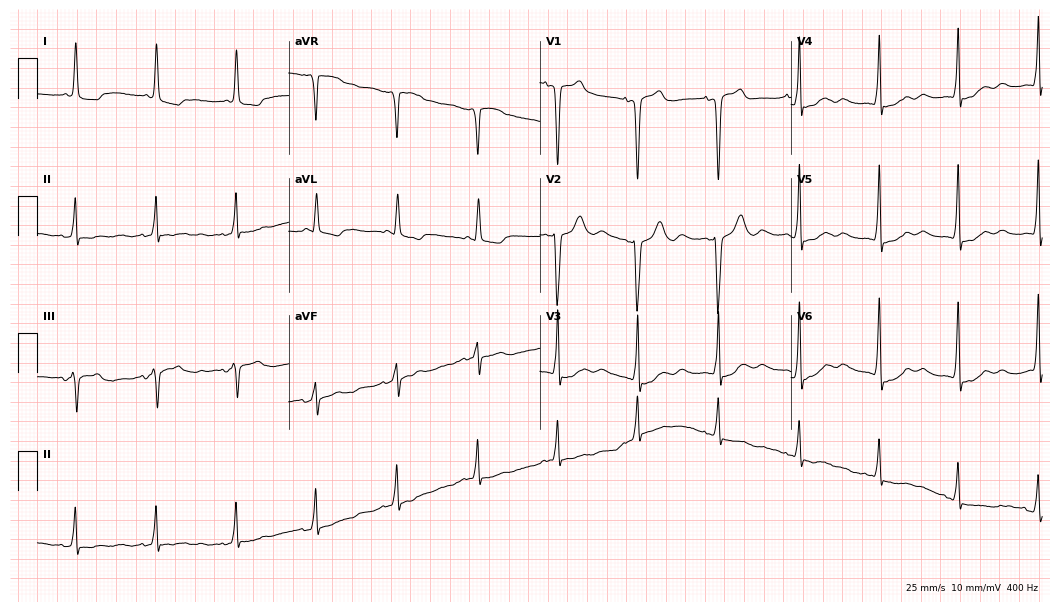
12-lead ECG from a female patient, 80 years old. Screened for six findings — first-degree AV block, right bundle branch block, left bundle branch block, sinus bradycardia, atrial fibrillation, sinus tachycardia — none is recorded. Only these six findings were labelled.